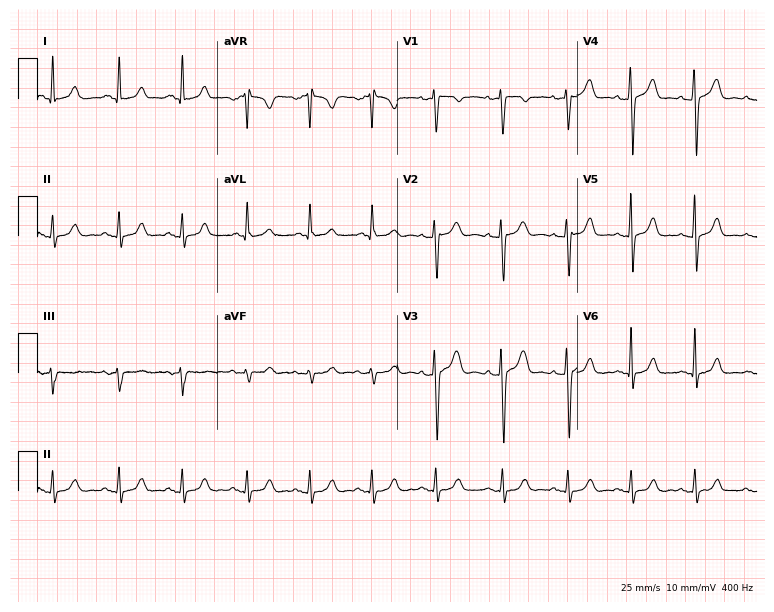
ECG (7.3-second recording at 400 Hz) — a woman, 18 years old. Labelled as a normal ECG.